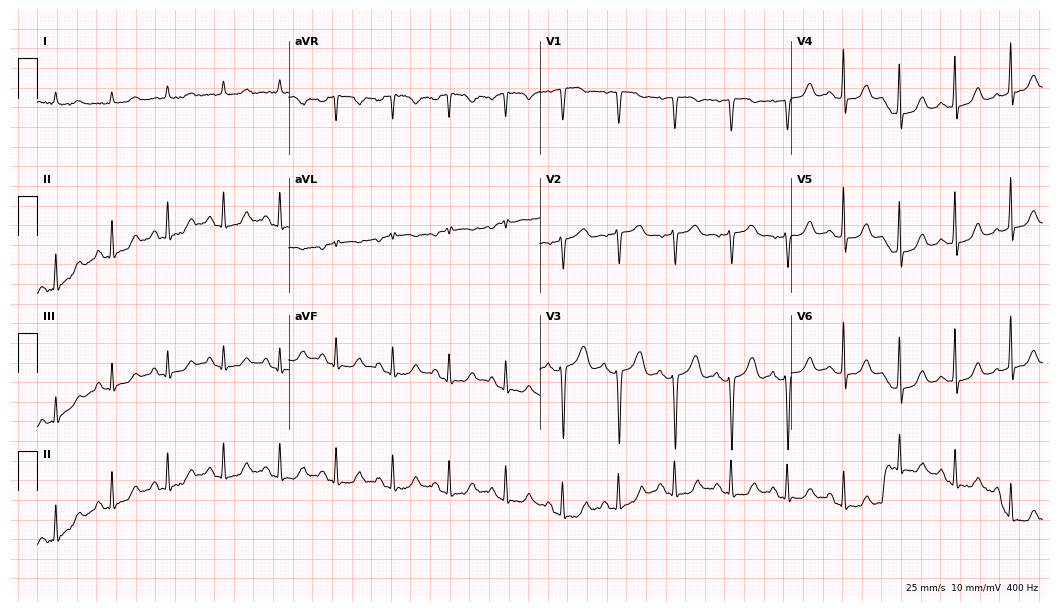
ECG (10.2-second recording at 400 Hz) — a female, 76 years old. Labelled as a normal ECG.